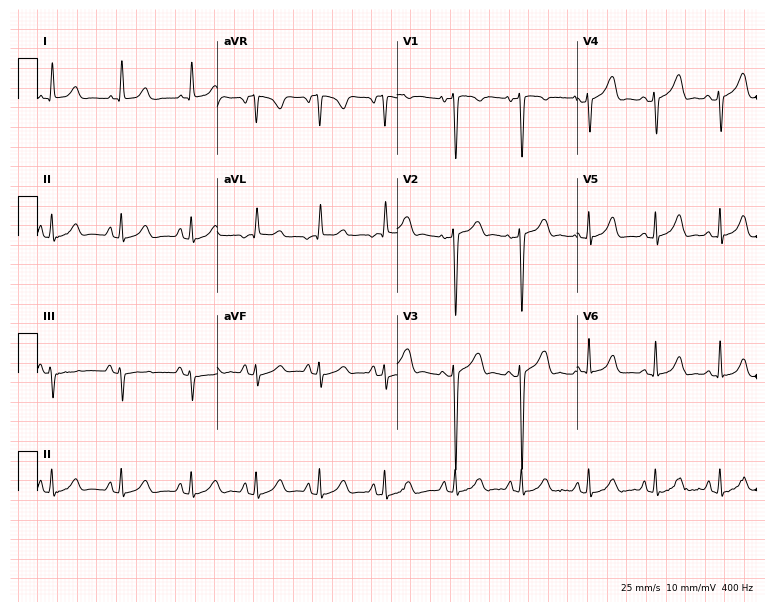
12-lead ECG (7.3-second recording at 400 Hz) from a 26-year-old female. Screened for six findings — first-degree AV block, right bundle branch block, left bundle branch block, sinus bradycardia, atrial fibrillation, sinus tachycardia — none is recorded. Other findings, if any, are not listed.